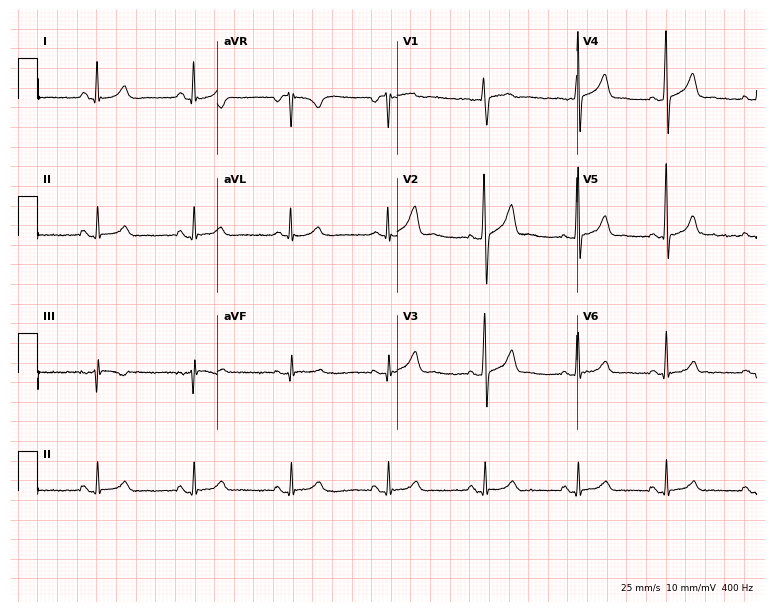
Standard 12-lead ECG recorded from a woman, 32 years old. Read as a normal ECG.